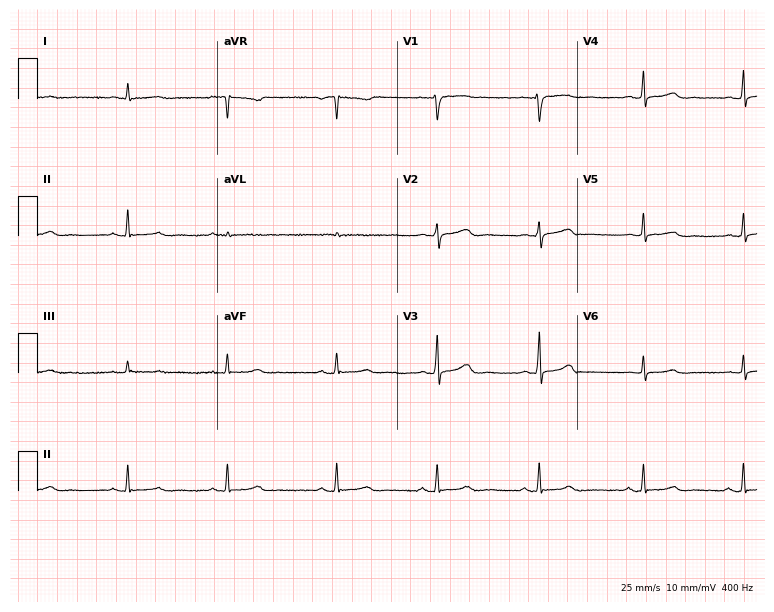
Electrocardiogram (7.3-second recording at 400 Hz), a female, 27 years old. Of the six screened findings (first-degree AV block, right bundle branch block, left bundle branch block, sinus bradycardia, atrial fibrillation, sinus tachycardia), none is recorded. Findings outside these six are not listed.